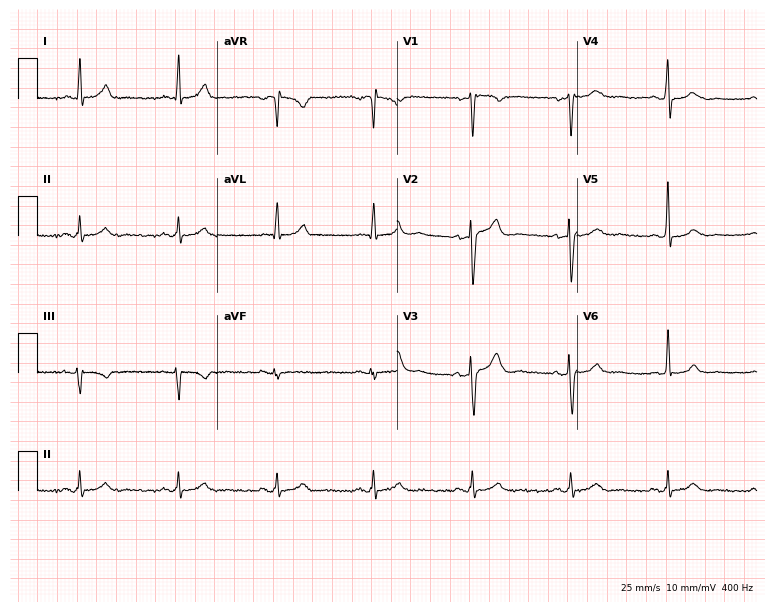
Standard 12-lead ECG recorded from a man, 46 years old (7.3-second recording at 400 Hz). None of these six findings is recorded: first-degree AV block, right bundle branch block, left bundle branch block, sinus bradycardia, atrial fibrillation, sinus tachycardia.